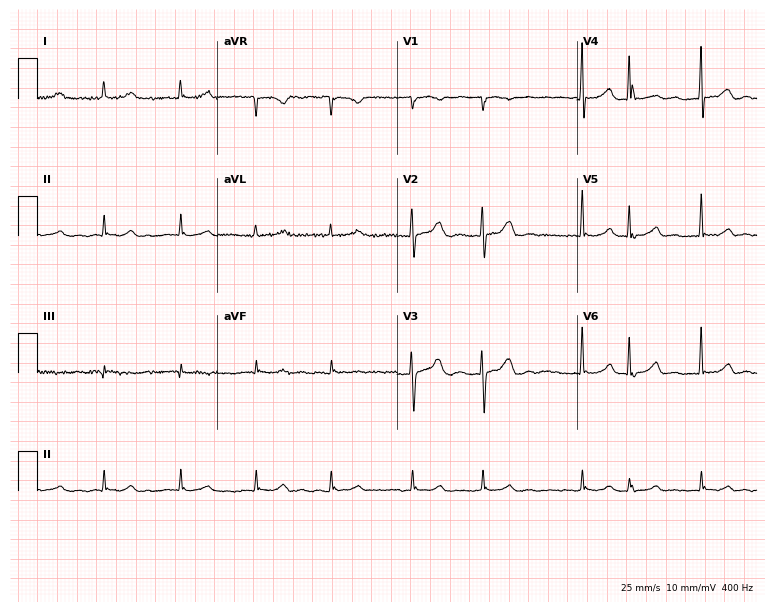
ECG (7.3-second recording at 400 Hz) — an 84-year-old female patient. Findings include atrial fibrillation (AF).